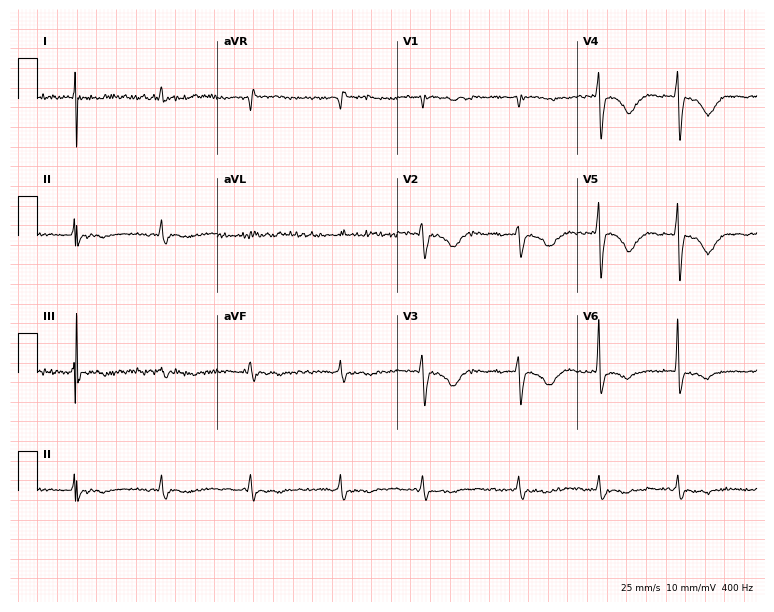
Electrocardiogram (7.3-second recording at 400 Hz), a woman, 69 years old. Interpretation includes atrial fibrillation.